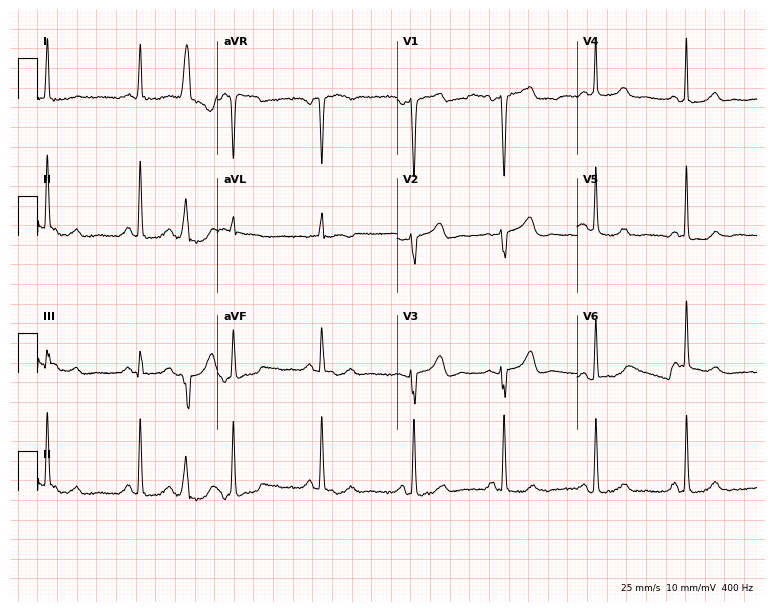
12-lead ECG (7.3-second recording at 400 Hz) from a woman, 77 years old. Screened for six findings — first-degree AV block, right bundle branch block, left bundle branch block, sinus bradycardia, atrial fibrillation, sinus tachycardia — none is recorded. Findings outside these six are not listed.